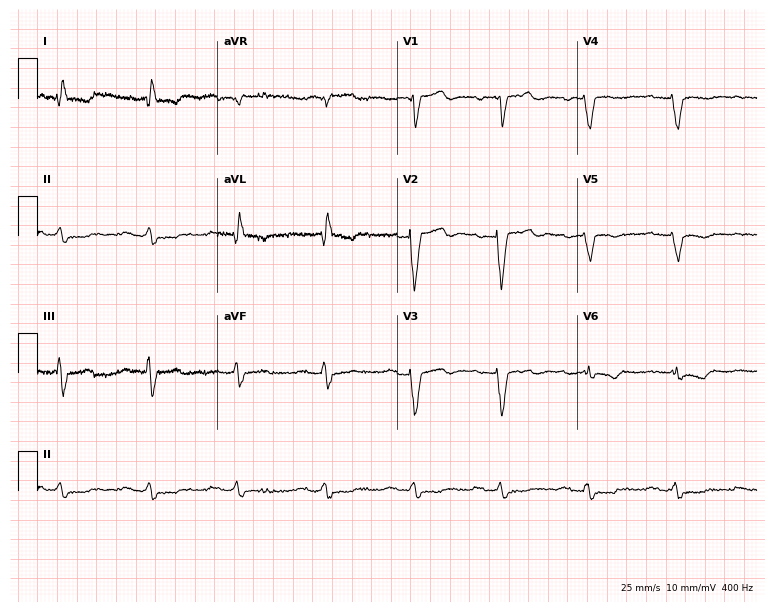
ECG — a male, 68 years old. Findings include first-degree AV block.